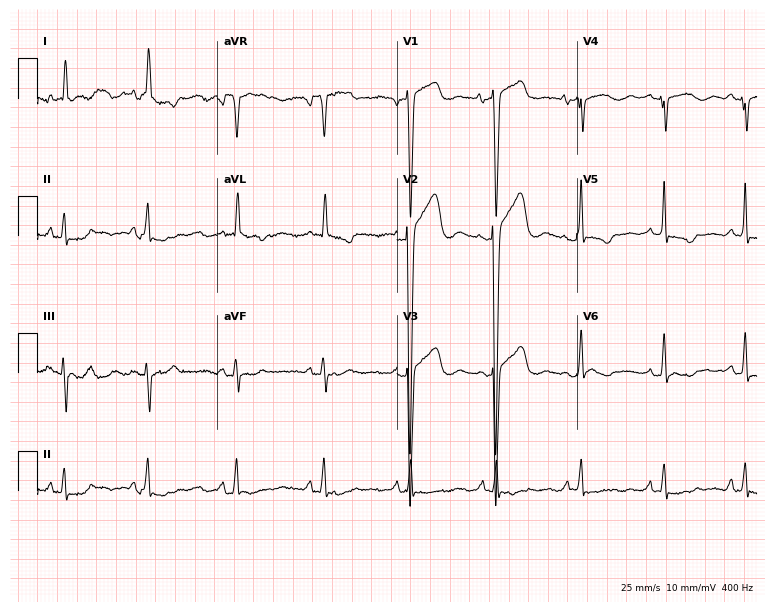
Resting 12-lead electrocardiogram. Patient: an 81-year-old woman. None of these six findings is recorded: first-degree AV block, right bundle branch block (RBBB), left bundle branch block (LBBB), sinus bradycardia, atrial fibrillation (AF), sinus tachycardia. Findings outside these six are not listed.